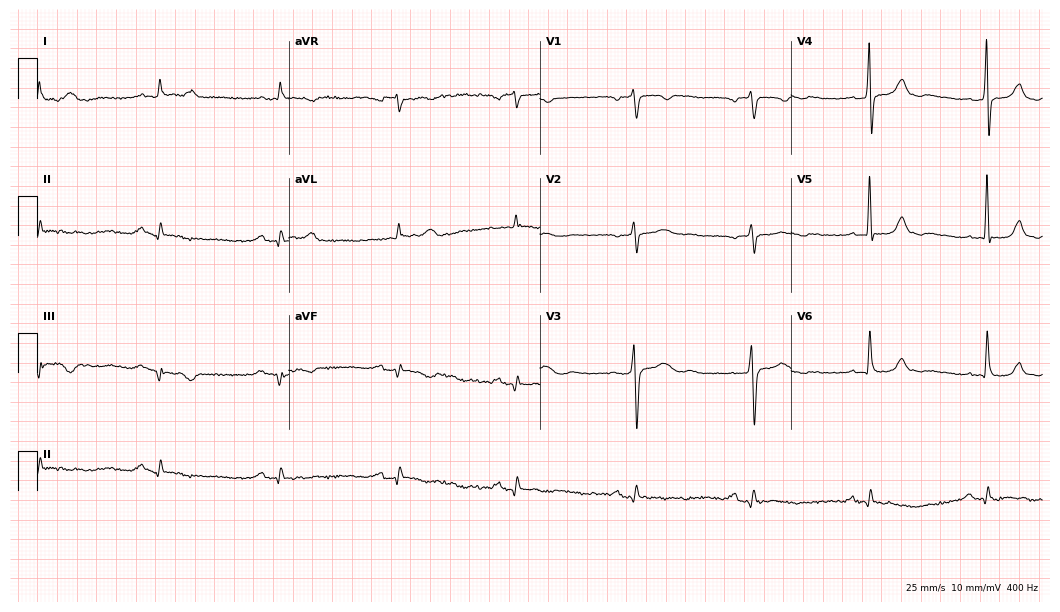
Resting 12-lead electrocardiogram (10.2-second recording at 400 Hz). Patient: a 72-year-old male. None of these six findings is recorded: first-degree AV block, right bundle branch block, left bundle branch block, sinus bradycardia, atrial fibrillation, sinus tachycardia.